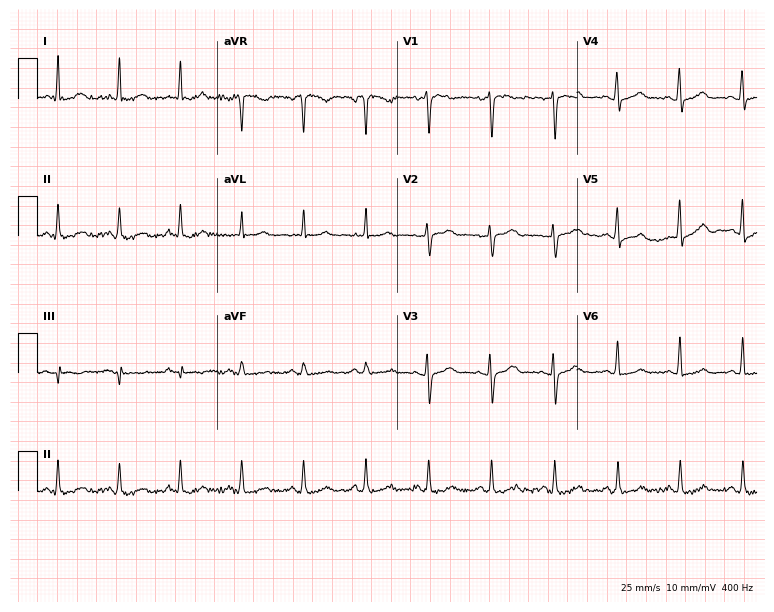
ECG — a 45-year-old female. Labelled as a normal ECG.